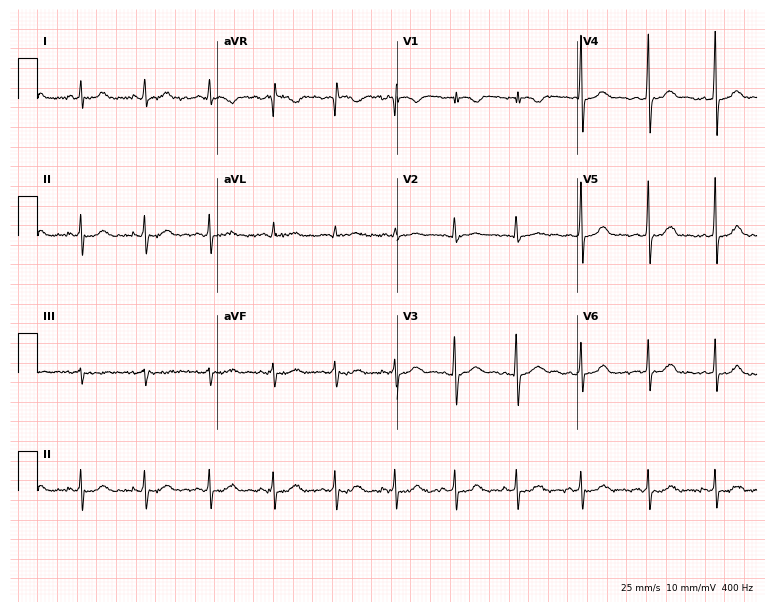
Electrocardiogram (7.3-second recording at 400 Hz), an 18-year-old female patient. Of the six screened findings (first-degree AV block, right bundle branch block (RBBB), left bundle branch block (LBBB), sinus bradycardia, atrial fibrillation (AF), sinus tachycardia), none is recorded. Other findings, if any, are not listed.